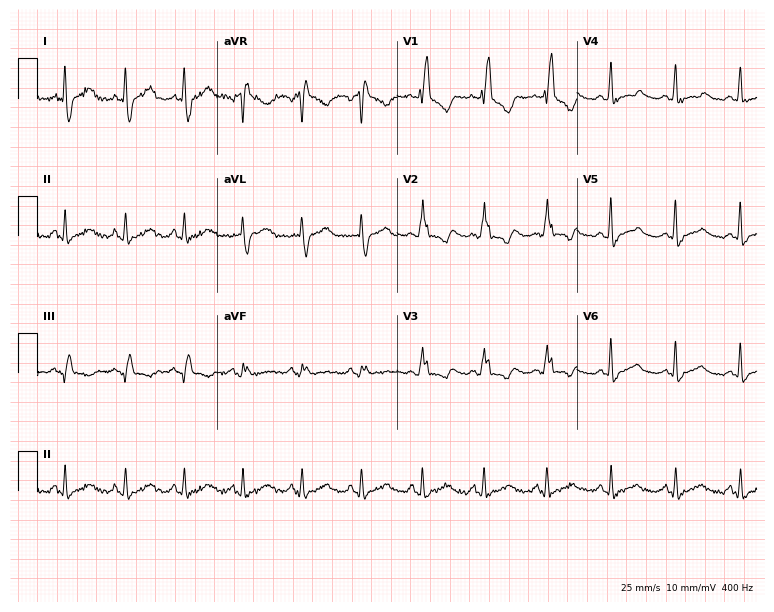
Standard 12-lead ECG recorded from a man, 41 years old. The tracing shows right bundle branch block.